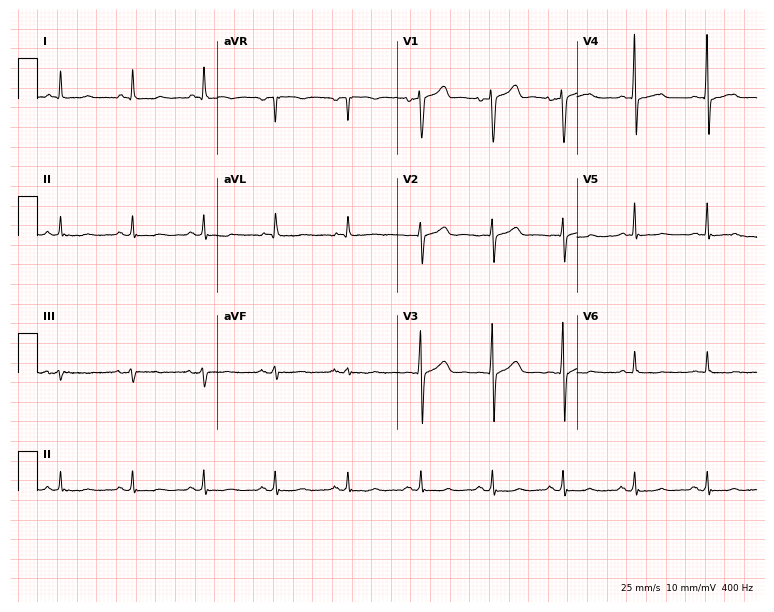
12-lead ECG from a male patient, 65 years old. Screened for six findings — first-degree AV block, right bundle branch block, left bundle branch block, sinus bradycardia, atrial fibrillation, sinus tachycardia — none is recorded. Only these six findings were labelled.